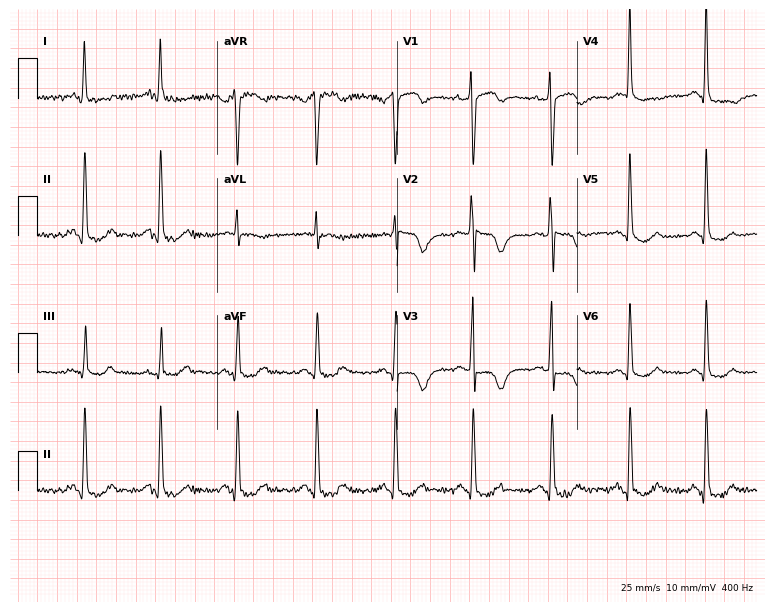
Electrocardiogram, a woman, 56 years old. Of the six screened findings (first-degree AV block, right bundle branch block (RBBB), left bundle branch block (LBBB), sinus bradycardia, atrial fibrillation (AF), sinus tachycardia), none is recorded. Findings outside these six are not listed.